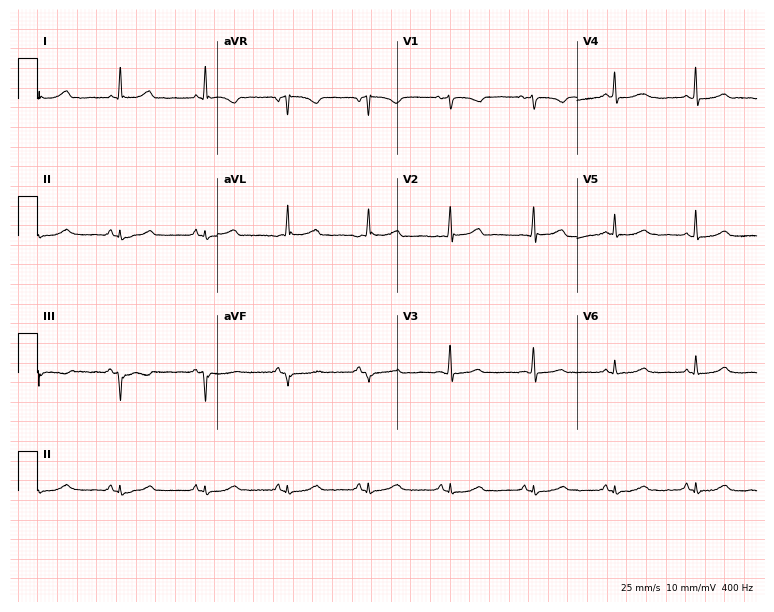
12-lead ECG (7.3-second recording at 400 Hz) from a female, 76 years old. Labelled as a normal ECG.